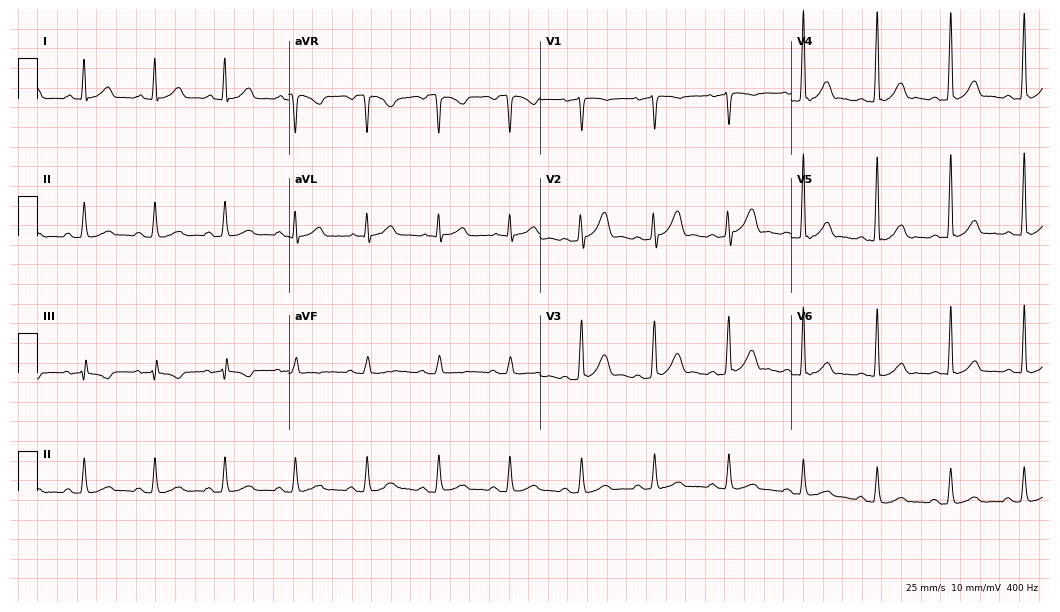
12-lead ECG (10.2-second recording at 400 Hz) from a male, 47 years old. Labelled as a normal ECG.